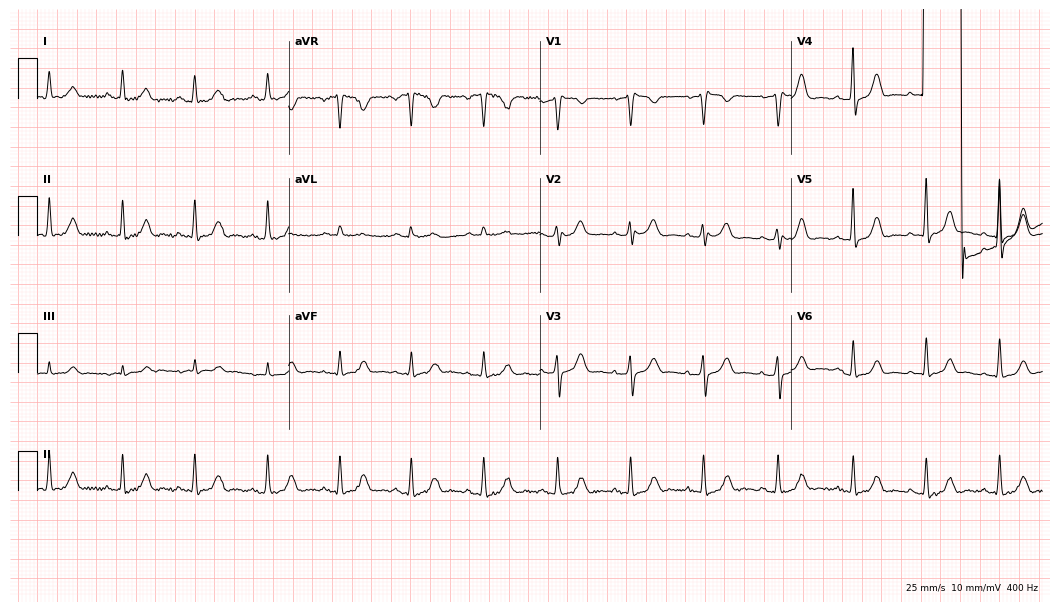
Resting 12-lead electrocardiogram (10.2-second recording at 400 Hz). Patient: a 69-year-old male. Read as a normal ECG.